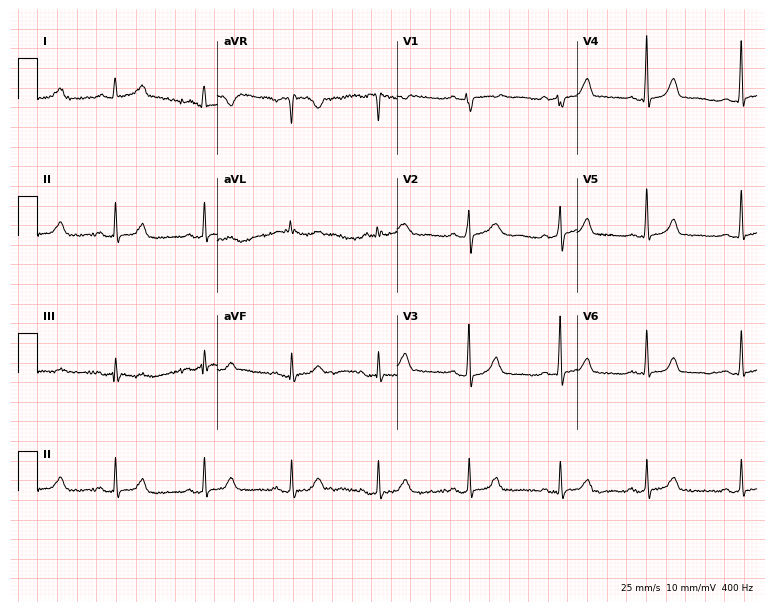
Electrocardiogram, a 28-year-old female patient. Overall reading on record: normal ECG.